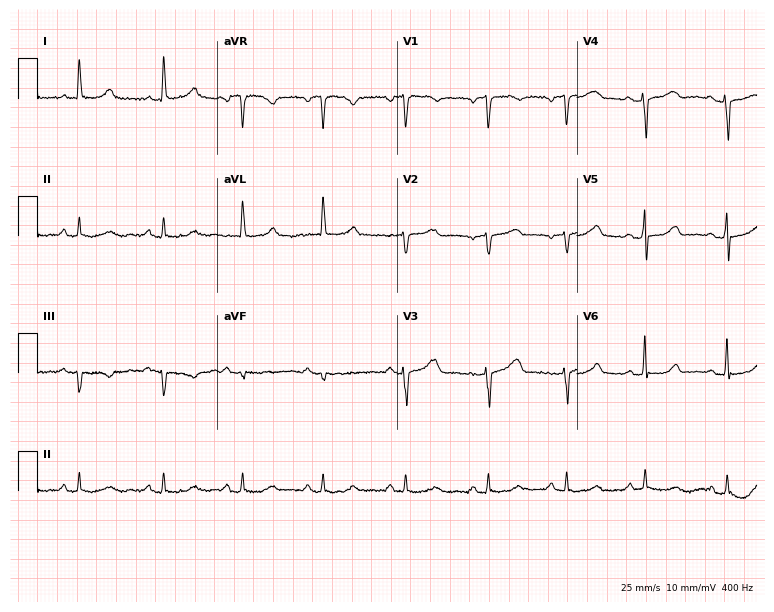
ECG (7.3-second recording at 400 Hz) — a woman, 59 years old. Labelled as a normal ECG.